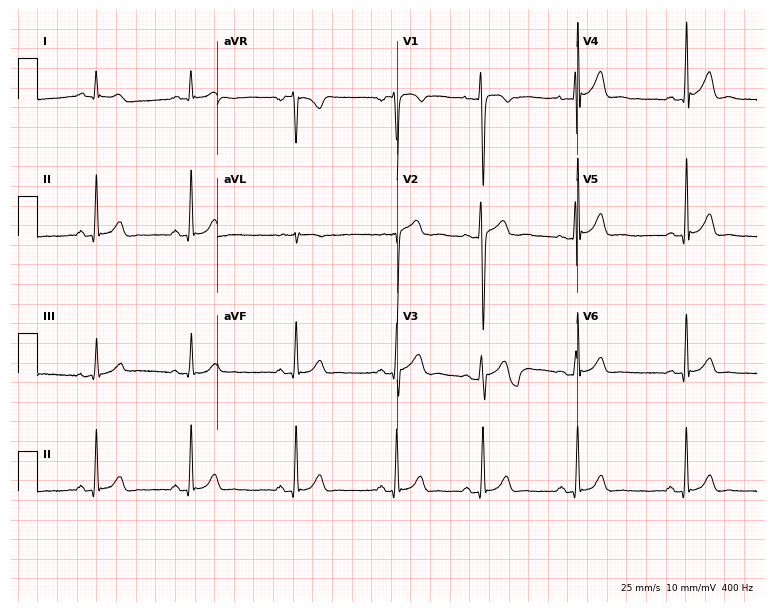
12-lead ECG (7.3-second recording at 400 Hz) from a 20-year-old male patient. Screened for six findings — first-degree AV block, right bundle branch block (RBBB), left bundle branch block (LBBB), sinus bradycardia, atrial fibrillation (AF), sinus tachycardia — none is recorded. Other findings, if any, are not listed.